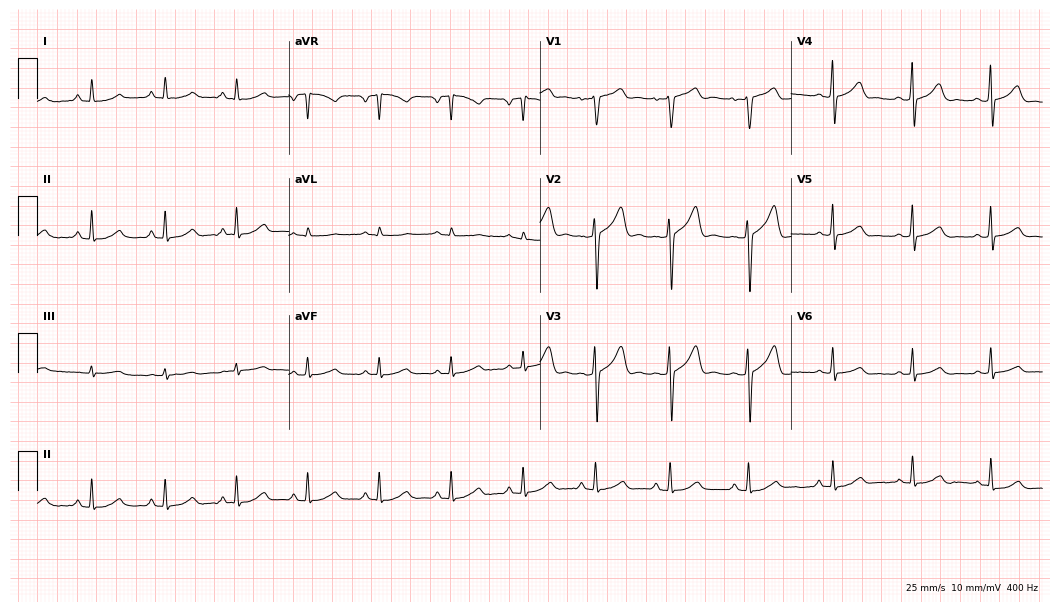
Resting 12-lead electrocardiogram (10.2-second recording at 400 Hz). Patient: a 42-year-old man. Read as a normal ECG.